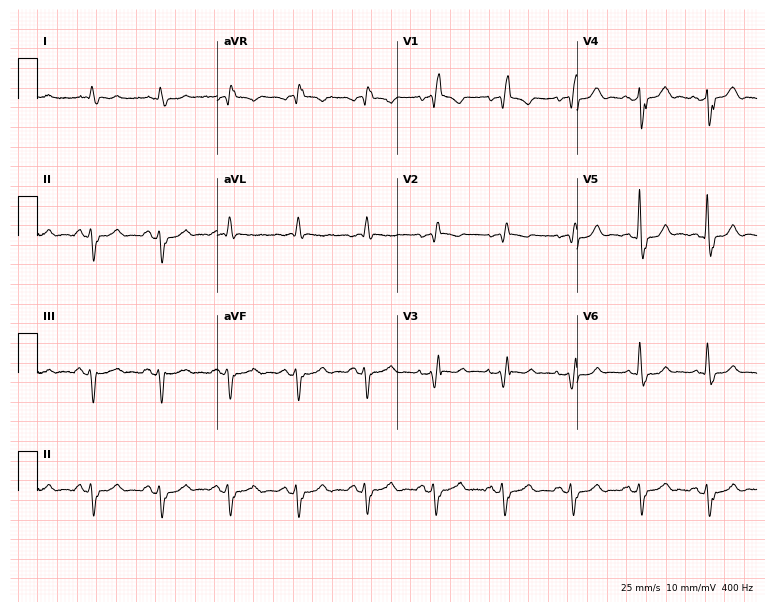
12-lead ECG from a male, 82 years old (7.3-second recording at 400 Hz). Shows right bundle branch block.